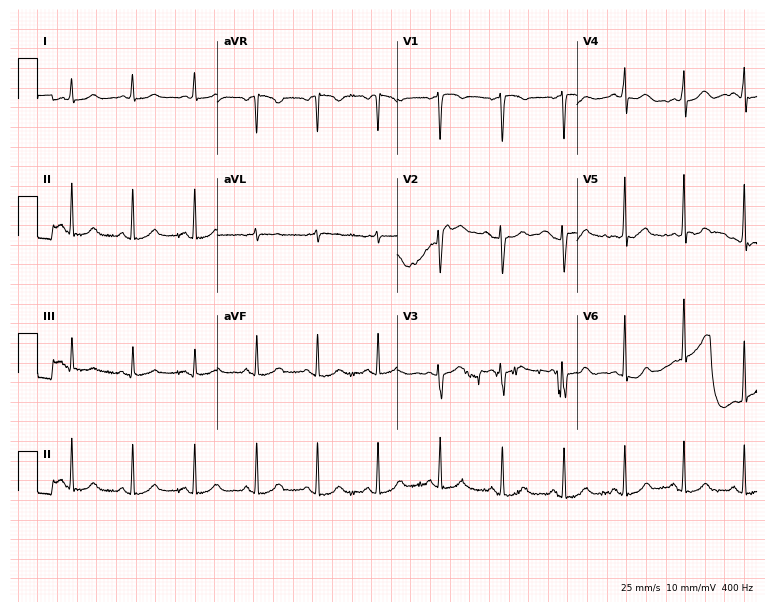
Electrocardiogram (7.3-second recording at 400 Hz), a female, 36 years old. Overall reading on record: normal ECG.